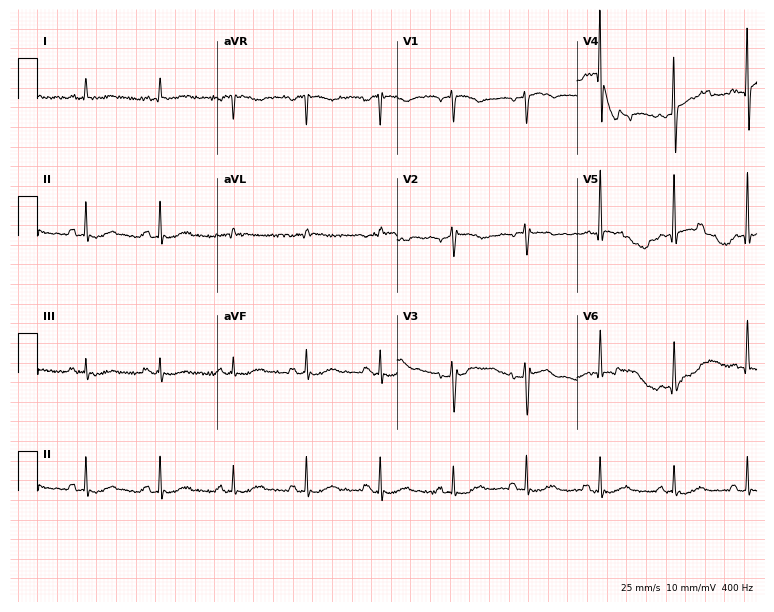
12-lead ECG from a male patient, 77 years old. No first-degree AV block, right bundle branch block (RBBB), left bundle branch block (LBBB), sinus bradycardia, atrial fibrillation (AF) or sinus tachycardia recorded for this tracing. Only these six findings were labelled.